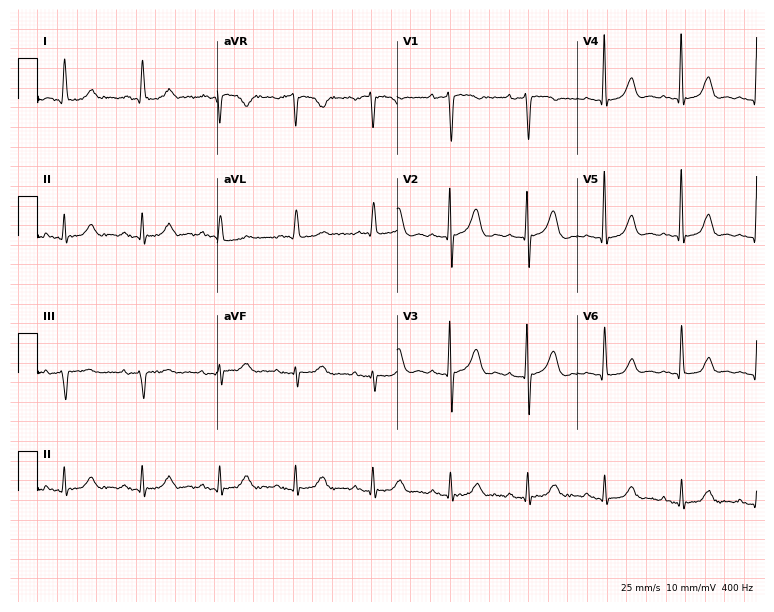
ECG (7.3-second recording at 400 Hz) — an 82-year-old female. Screened for six findings — first-degree AV block, right bundle branch block, left bundle branch block, sinus bradycardia, atrial fibrillation, sinus tachycardia — none is recorded.